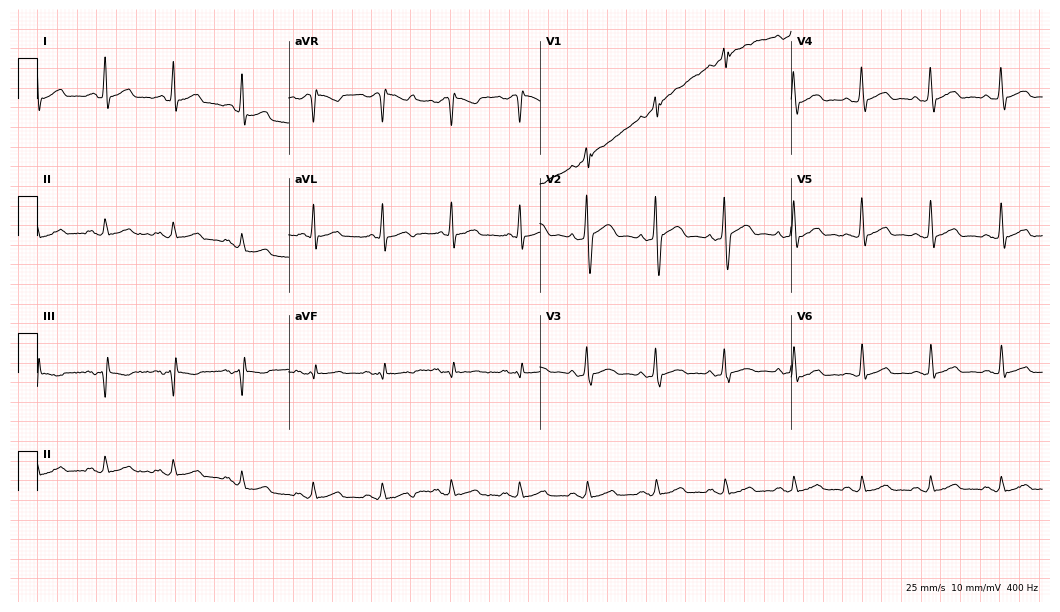
Electrocardiogram (10.2-second recording at 400 Hz), a male patient, 49 years old. Of the six screened findings (first-degree AV block, right bundle branch block, left bundle branch block, sinus bradycardia, atrial fibrillation, sinus tachycardia), none is recorded. Other findings, if any, are not listed.